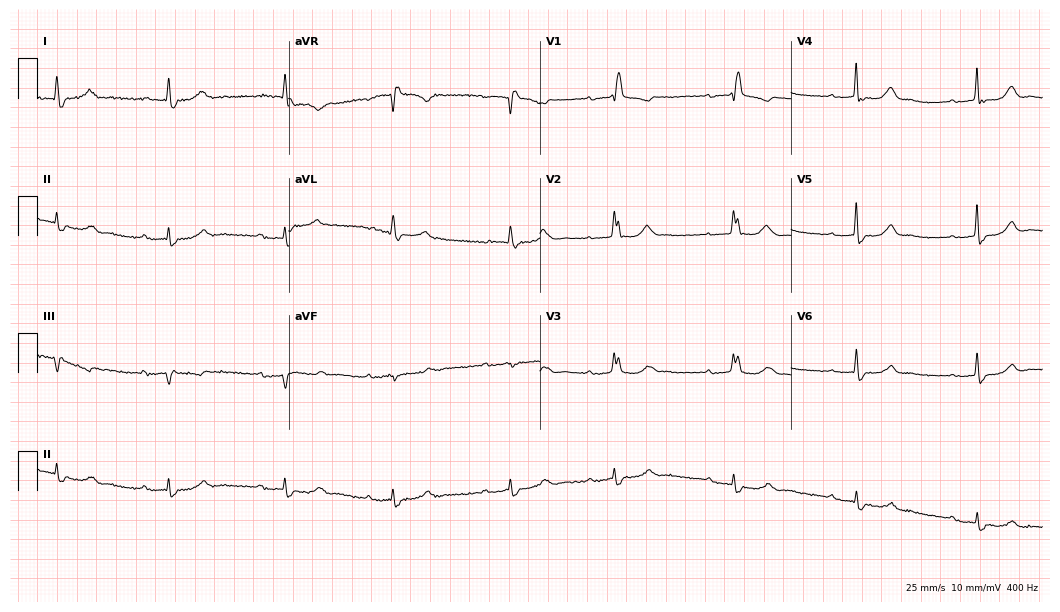
Electrocardiogram, an 85-year-old woman. Interpretation includes right bundle branch block.